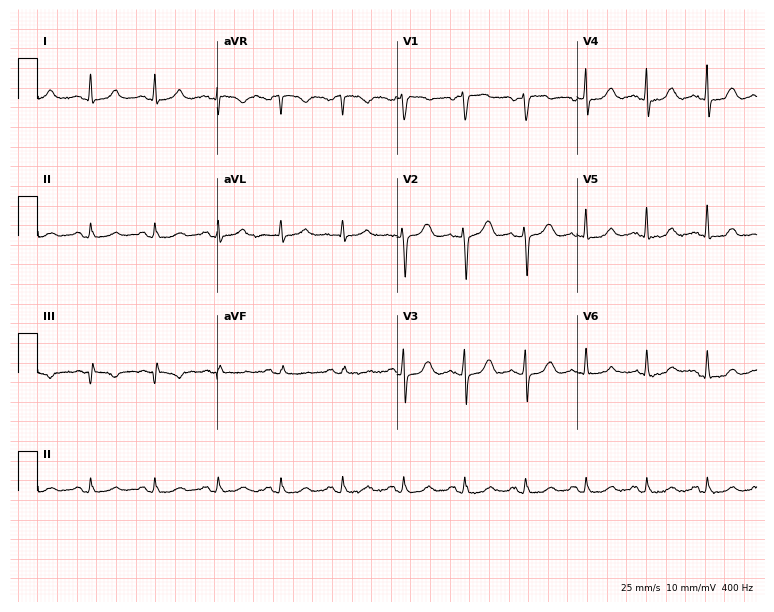
Resting 12-lead electrocardiogram. Patient: a 58-year-old female. None of these six findings is recorded: first-degree AV block, right bundle branch block, left bundle branch block, sinus bradycardia, atrial fibrillation, sinus tachycardia.